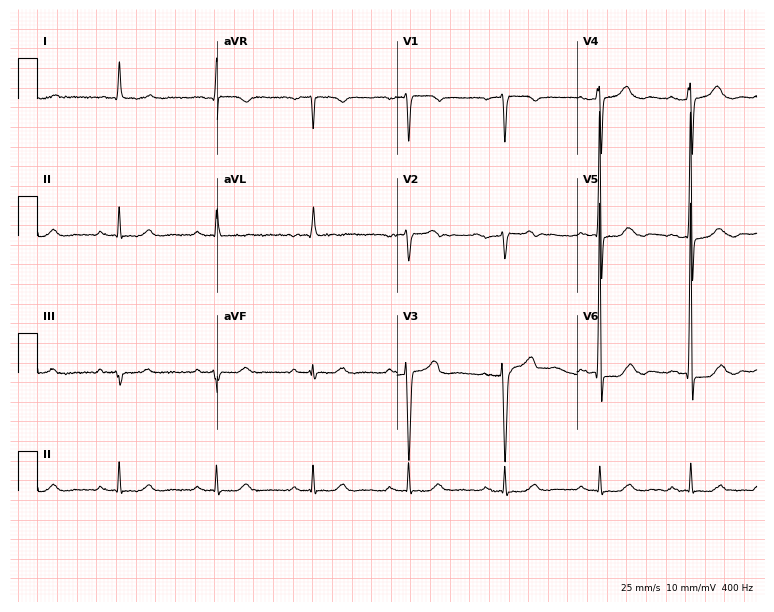
ECG — a male, 83 years old. Screened for six findings — first-degree AV block, right bundle branch block (RBBB), left bundle branch block (LBBB), sinus bradycardia, atrial fibrillation (AF), sinus tachycardia — none is recorded.